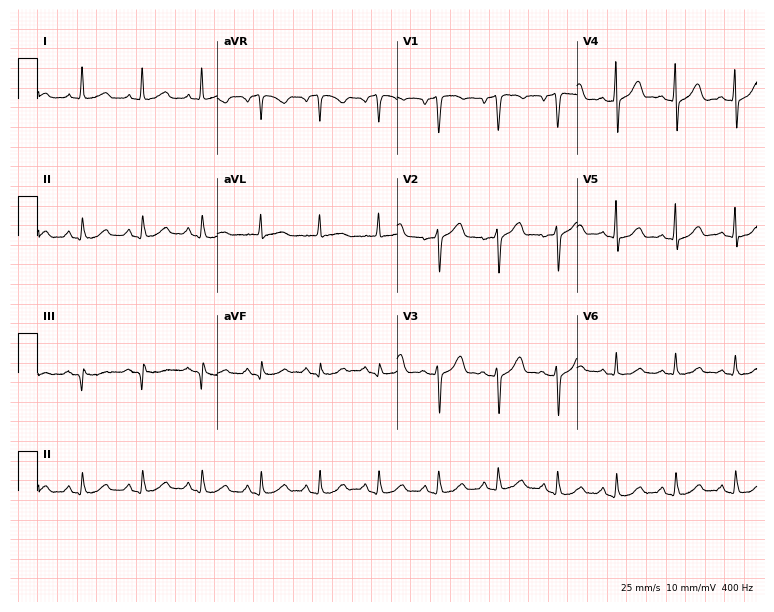
12-lead ECG from a 69-year-old female (7.3-second recording at 400 Hz). No first-degree AV block, right bundle branch block, left bundle branch block, sinus bradycardia, atrial fibrillation or sinus tachycardia recorded for this tracing. Findings outside these six are not listed.